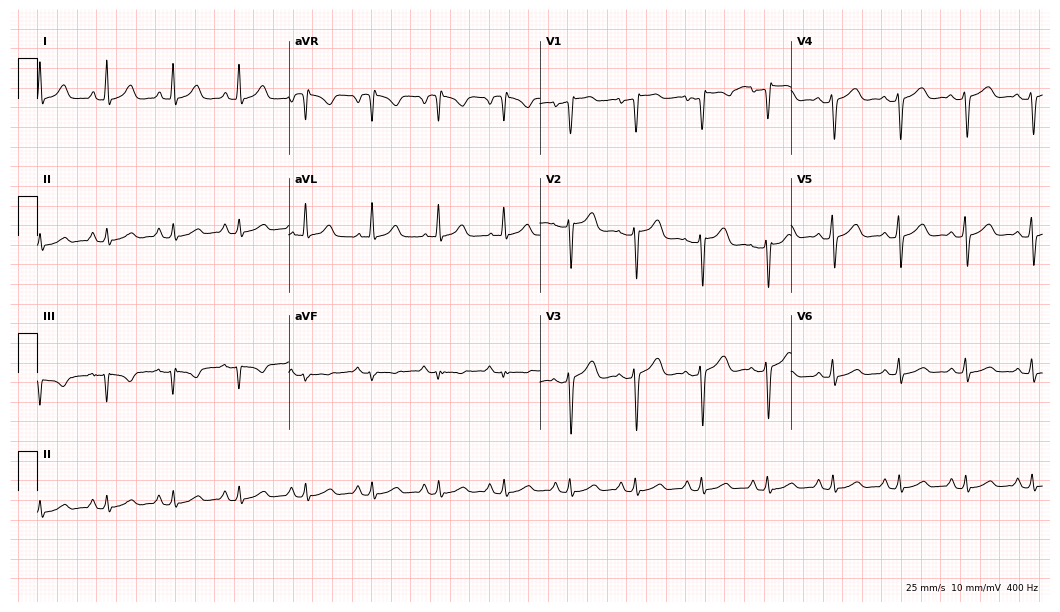
12-lead ECG (10.2-second recording at 400 Hz) from a 41-year-old female. Labelled as a normal ECG.